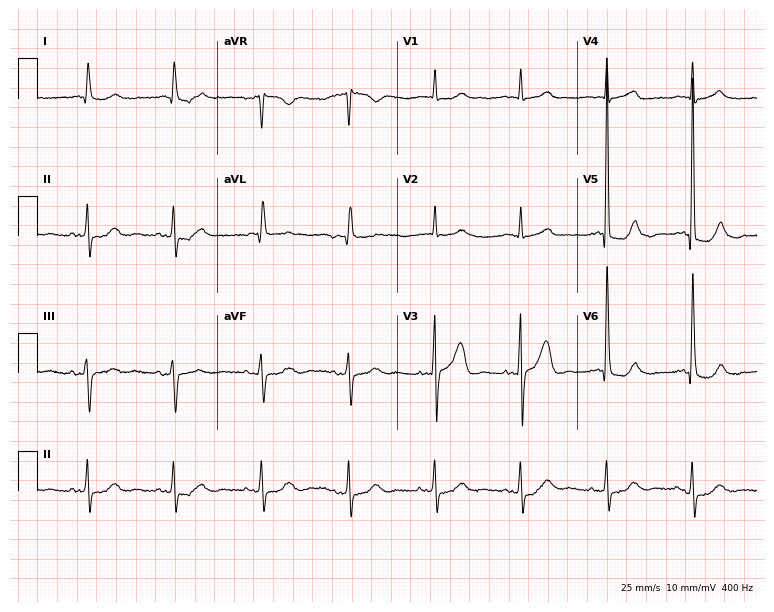
Electrocardiogram (7.3-second recording at 400 Hz), a man, 72 years old. Of the six screened findings (first-degree AV block, right bundle branch block, left bundle branch block, sinus bradycardia, atrial fibrillation, sinus tachycardia), none is recorded. Findings outside these six are not listed.